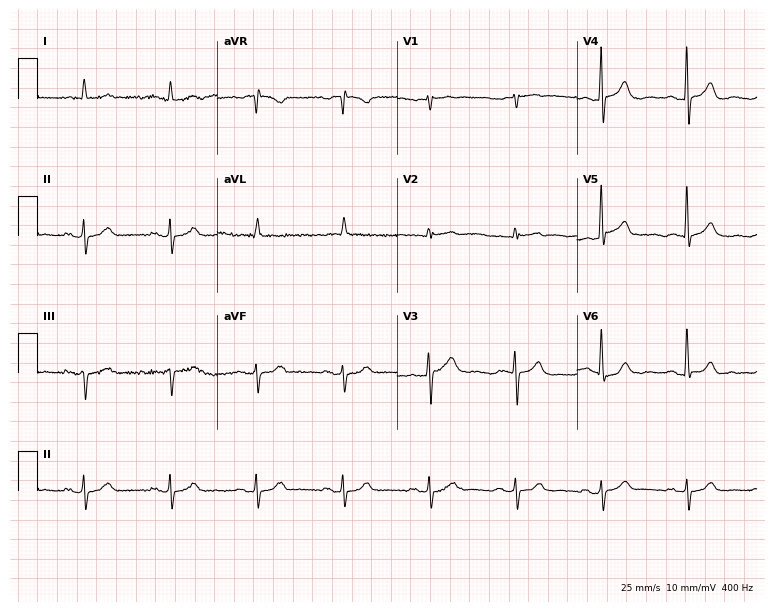
Resting 12-lead electrocardiogram. Patient: a male, 76 years old. Read as a normal ECG.